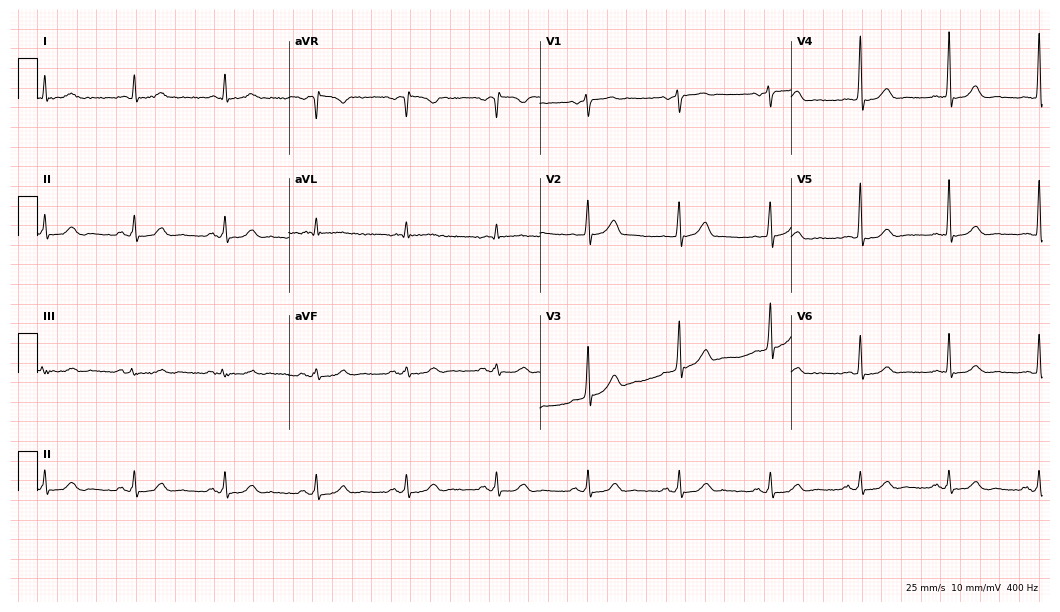
Electrocardiogram, a male patient, 62 years old. Overall reading on record: normal ECG.